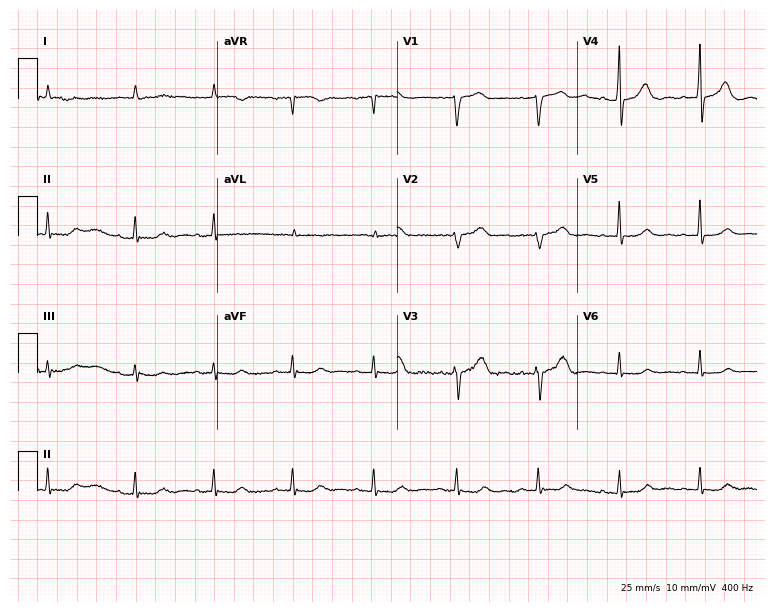
Standard 12-lead ECG recorded from an 83-year-old male (7.3-second recording at 400 Hz). Read as a normal ECG.